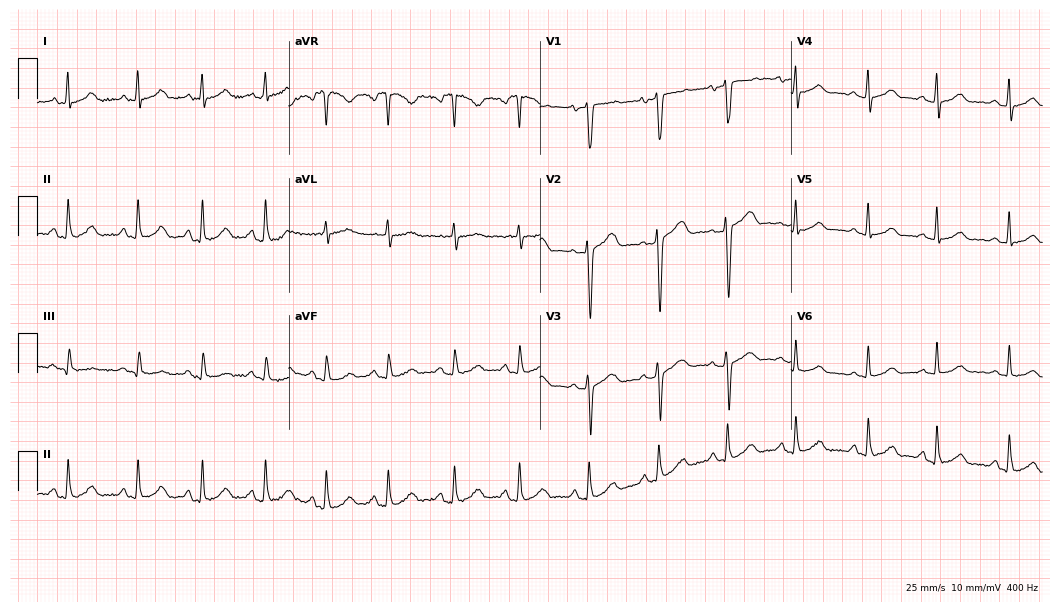
Resting 12-lead electrocardiogram (10.2-second recording at 400 Hz). Patient: a 29-year-old female. Read as a normal ECG.